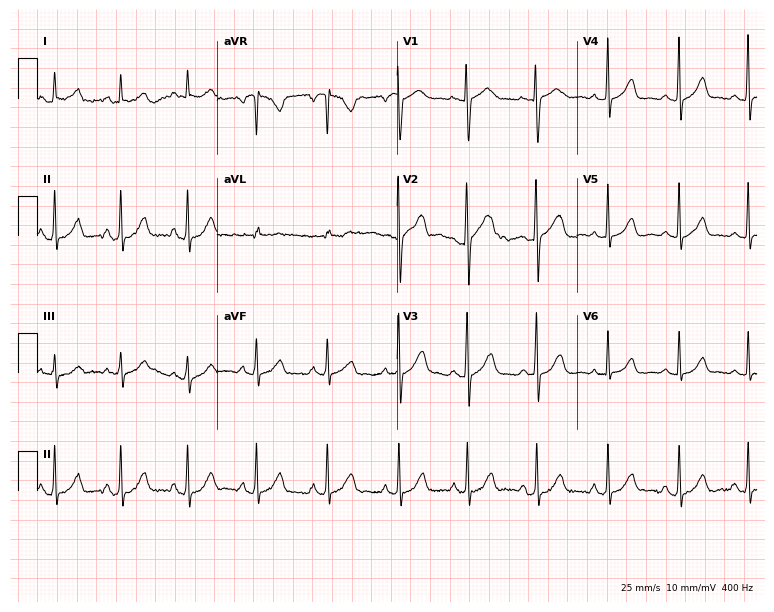
ECG (7.3-second recording at 400 Hz) — a woman, 34 years old. Labelled as a normal ECG.